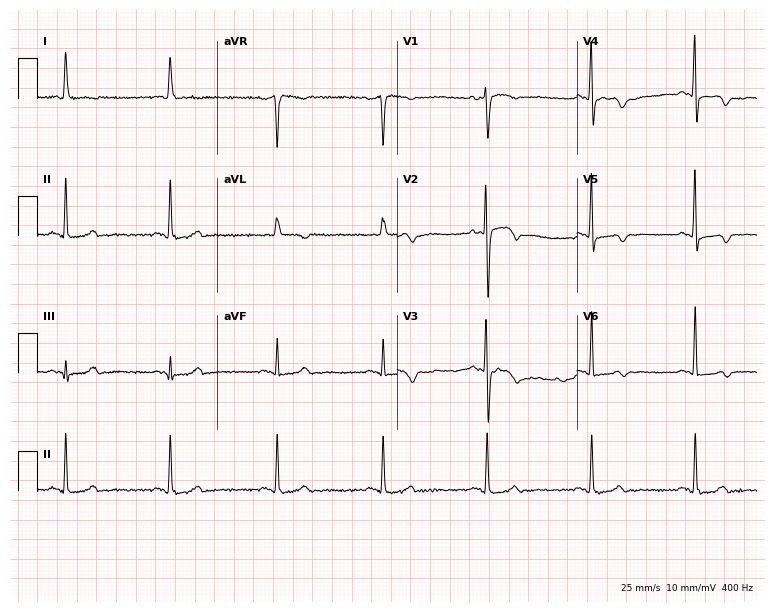
12-lead ECG from an 84-year-old woman. No first-degree AV block, right bundle branch block, left bundle branch block, sinus bradycardia, atrial fibrillation or sinus tachycardia recorded for this tracing. Findings outside these six are not listed.